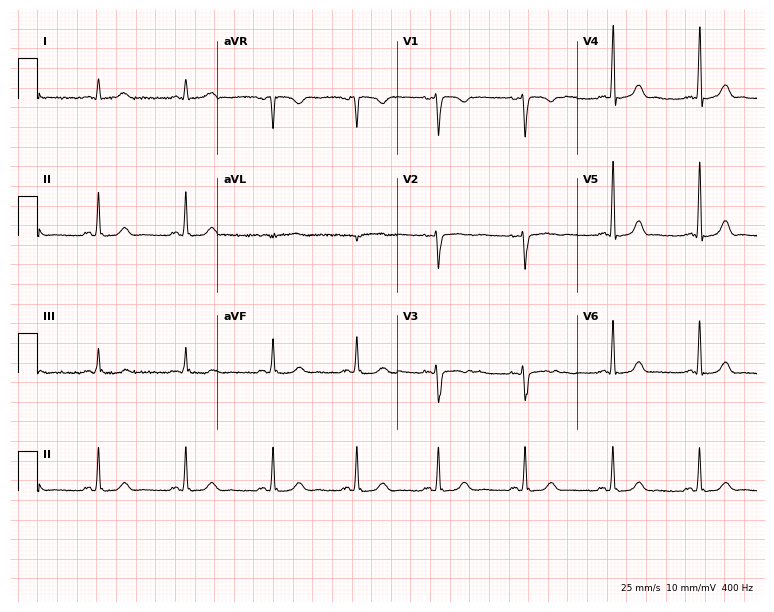
Standard 12-lead ECG recorded from a female patient, 31 years old. Read as a normal ECG.